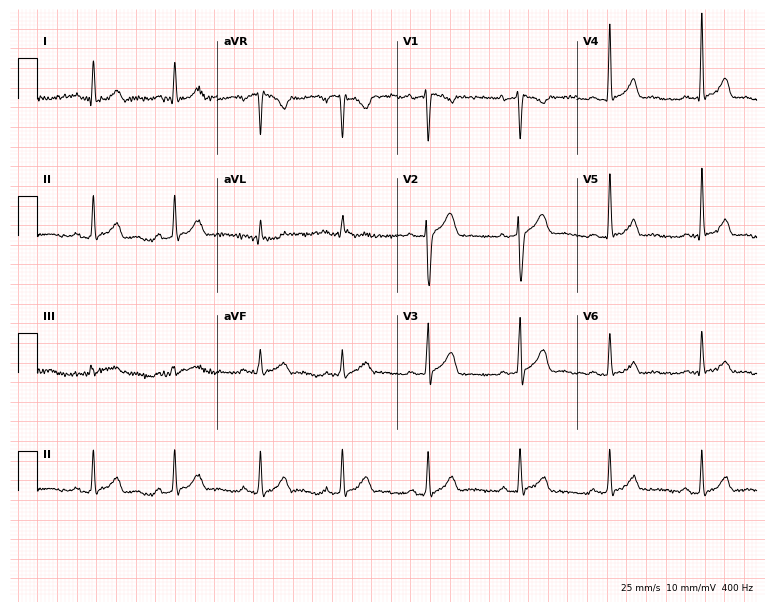
ECG — a man, 44 years old. Labelled as a normal ECG.